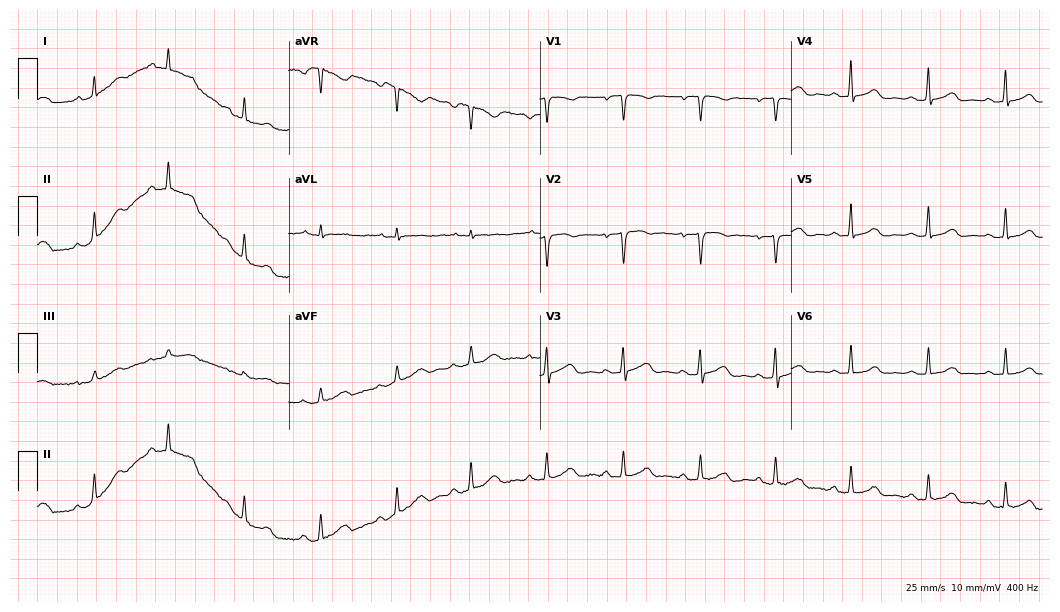
12-lead ECG from a 47-year-old female (10.2-second recording at 400 Hz). Recorded interpretation: within normal limits.